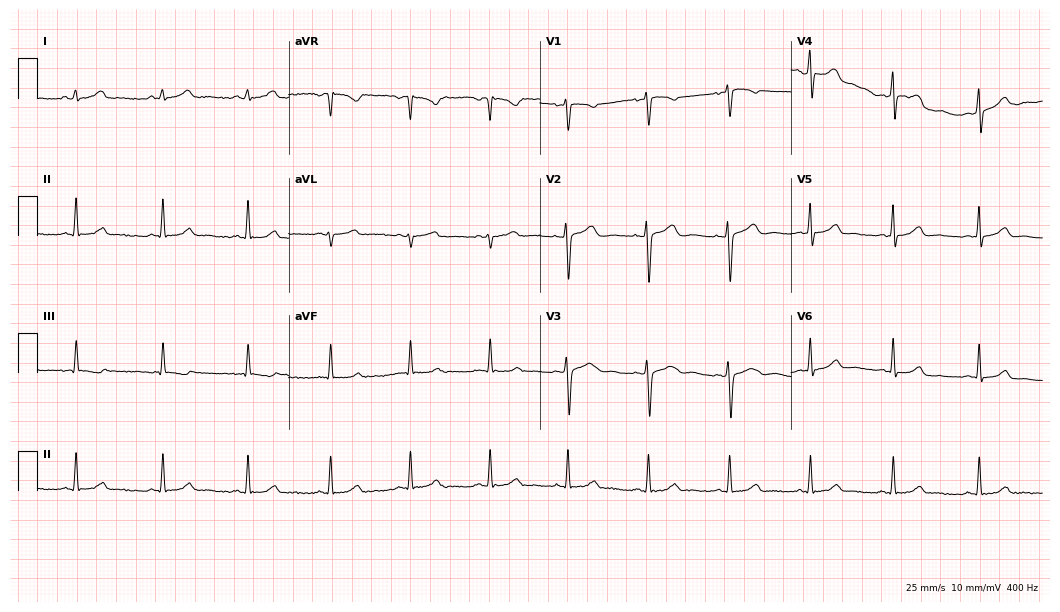
Standard 12-lead ECG recorded from a 40-year-old woman (10.2-second recording at 400 Hz). Read as a normal ECG.